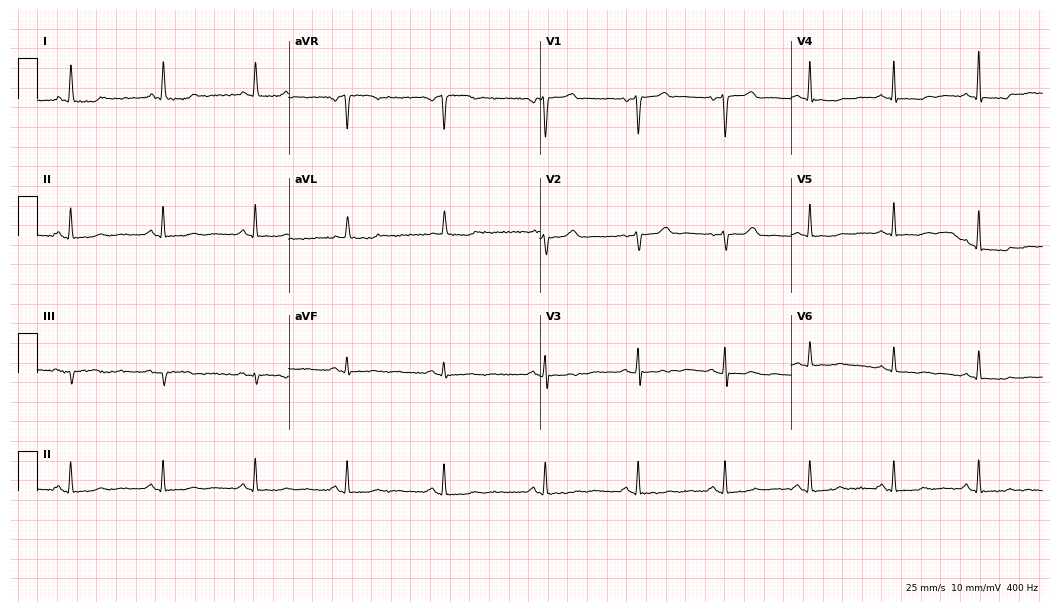
ECG — a 55-year-old female patient. Screened for six findings — first-degree AV block, right bundle branch block, left bundle branch block, sinus bradycardia, atrial fibrillation, sinus tachycardia — none is recorded.